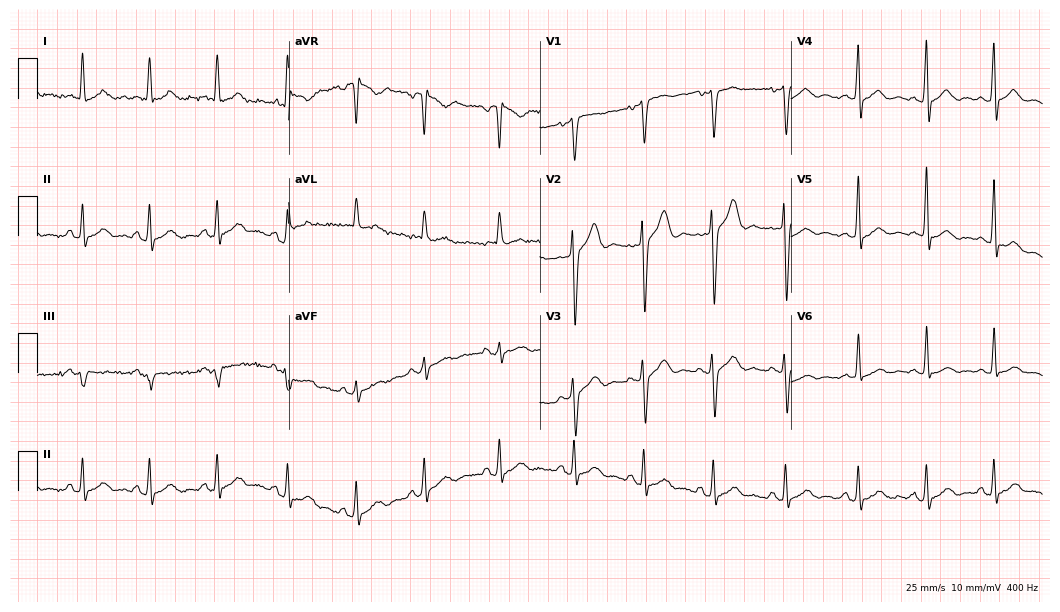
Electrocardiogram (10.2-second recording at 400 Hz), a 25-year-old man. Of the six screened findings (first-degree AV block, right bundle branch block, left bundle branch block, sinus bradycardia, atrial fibrillation, sinus tachycardia), none is recorded.